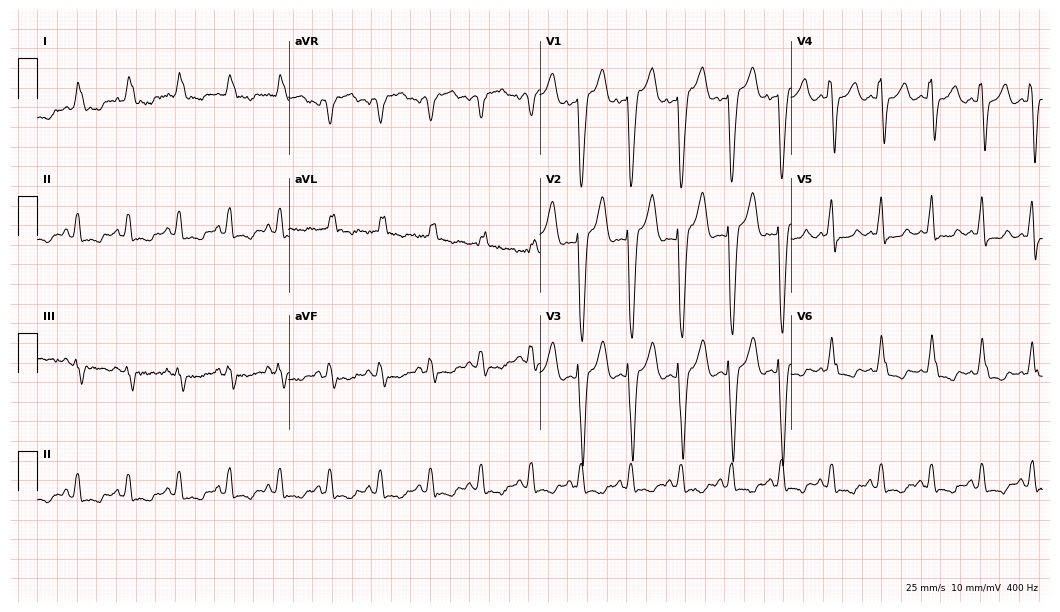
12-lead ECG from an 81-year-old woman. Findings include left bundle branch block, sinus tachycardia (a sinus rate of 100 beats per minute or more).